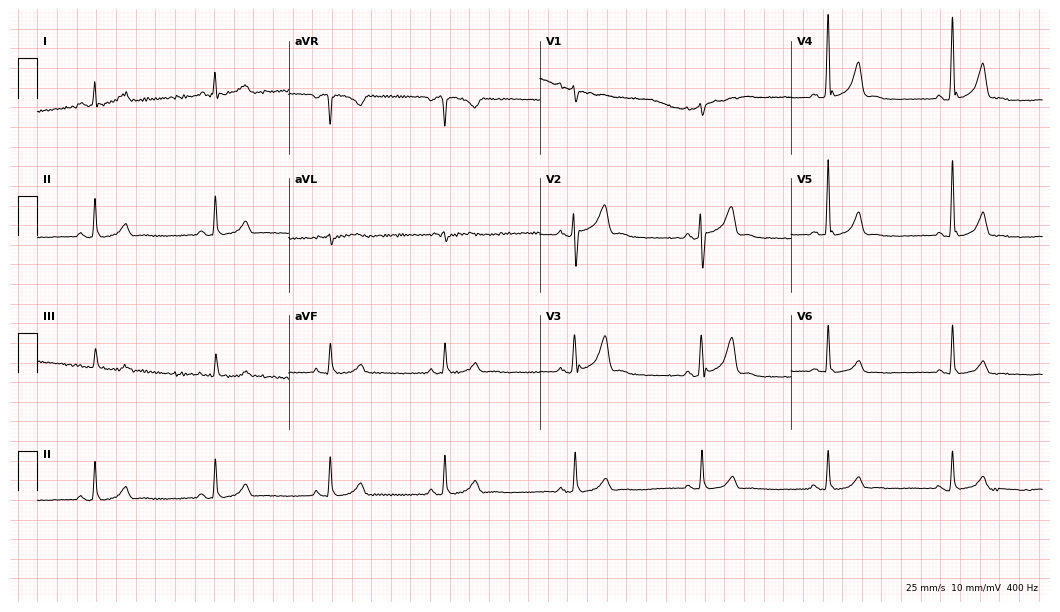
Standard 12-lead ECG recorded from a male, 35 years old. Read as a normal ECG.